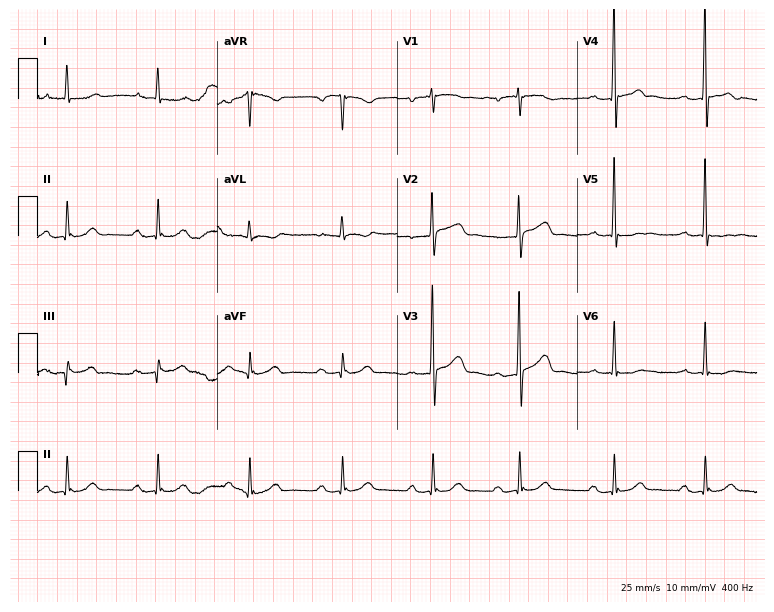
Resting 12-lead electrocardiogram. Patient: a male, 81 years old. The tracing shows first-degree AV block.